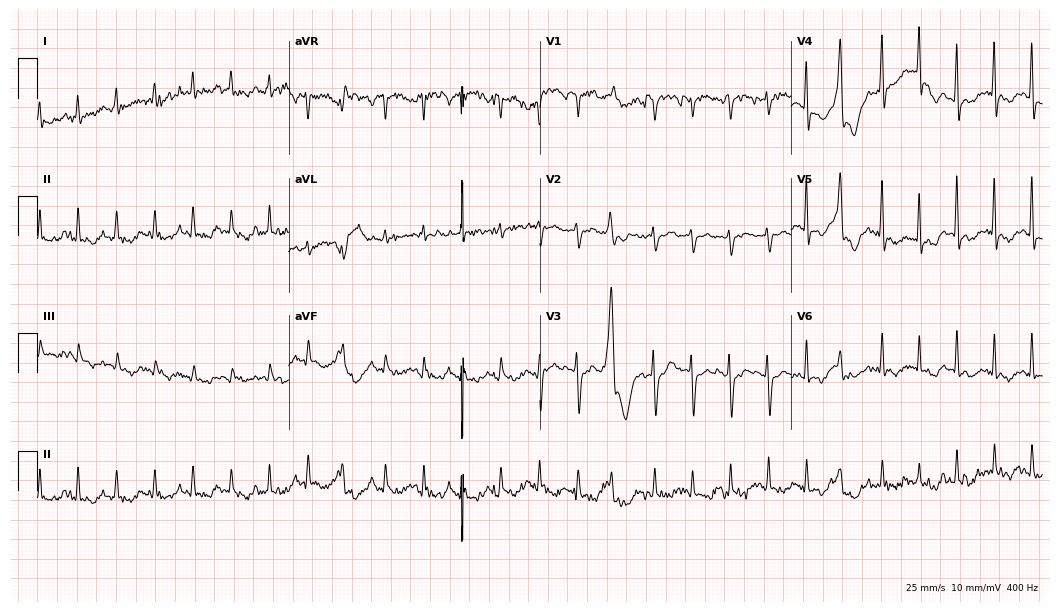
ECG — a 42-year-old female. Screened for six findings — first-degree AV block, right bundle branch block (RBBB), left bundle branch block (LBBB), sinus bradycardia, atrial fibrillation (AF), sinus tachycardia — none is recorded.